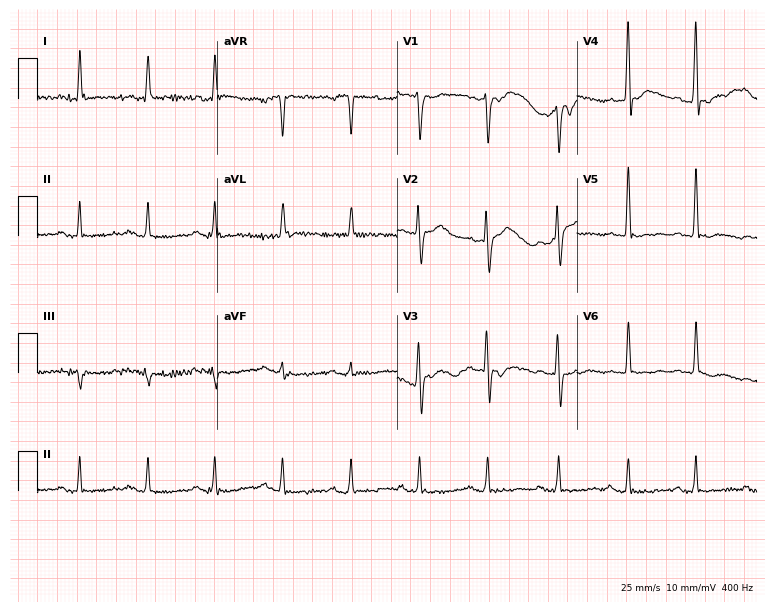
12-lead ECG from a male, 55 years old. No first-degree AV block, right bundle branch block (RBBB), left bundle branch block (LBBB), sinus bradycardia, atrial fibrillation (AF) or sinus tachycardia recorded for this tracing. Only these six findings were labelled.